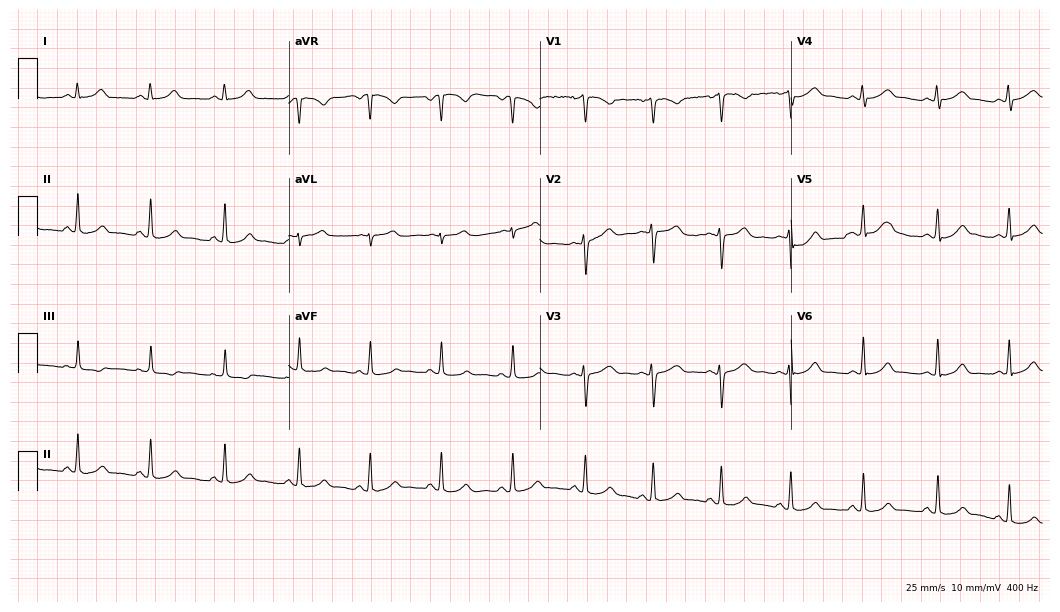
Electrocardiogram, a woman, 25 years old. Overall reading on record: normal ECG.